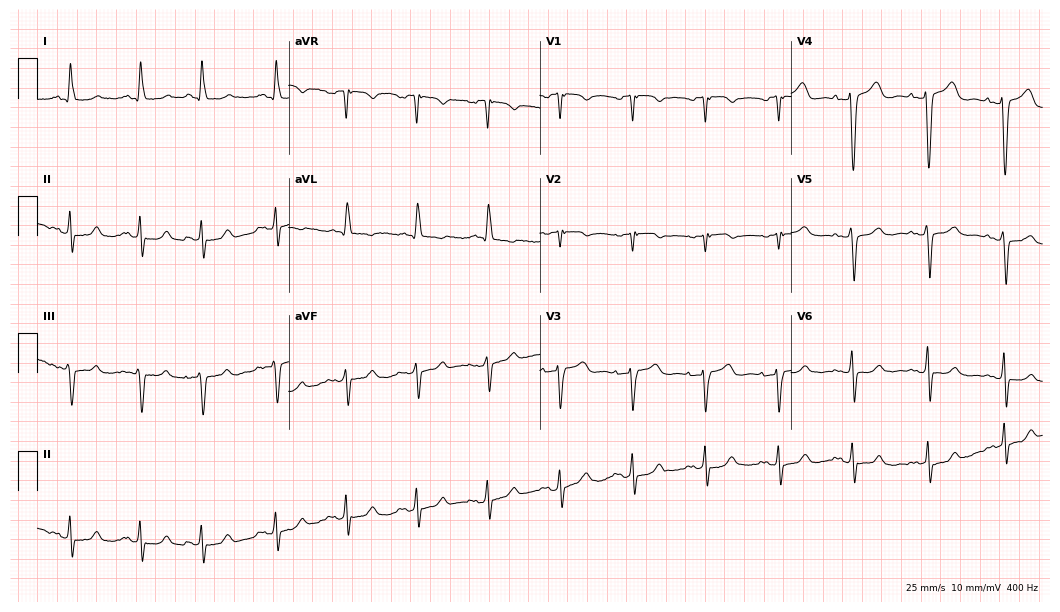
ECG — a 79-year-old woman. Screened for six findings — first-degree AV block, right bundle branch block (RBBB), left bundle branch block (LBBB), sinus bradycardia, atrial fibrillation (AF), sinus tachycardia — none is recorded. Only these six findings were labelled.